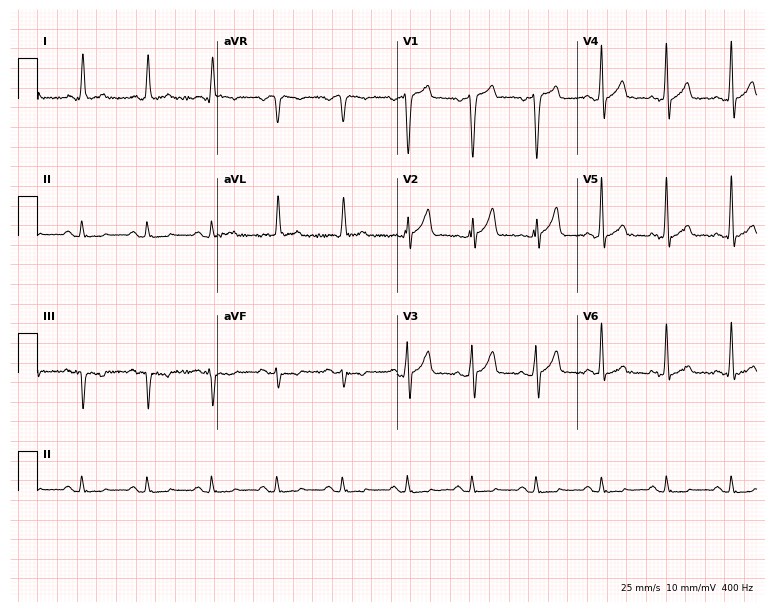
12-lead ECG from a 62-year-old man (7.3-second recording at 400 Hz). No first-degree AV block, right bundle branch block, left bundle branch block, sinus bradycardia, atrial fibrillation or sinus tachycardia recorded for this tracing. Other findings, if any, are not listed.